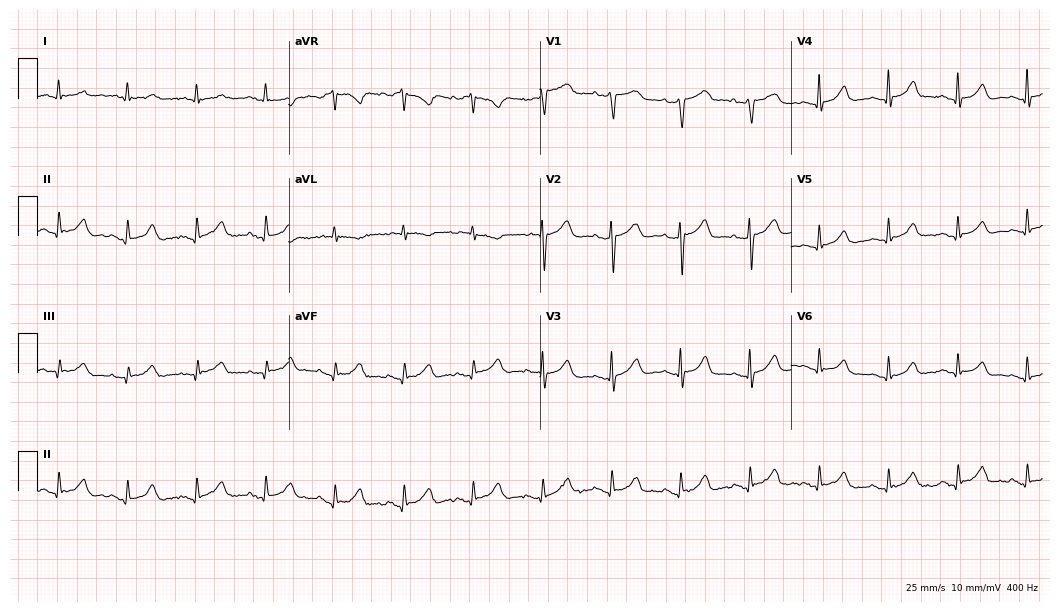
Resting 12-lead electrocardiogram. Patient: a female, 85 years old. None of these six findings is recorded: first-degree AV block, right bundle branch block, left bundle branch block, sinus bradycardia, atrial fibrillation, sinus tachycardia. Only these six findings were labelled.